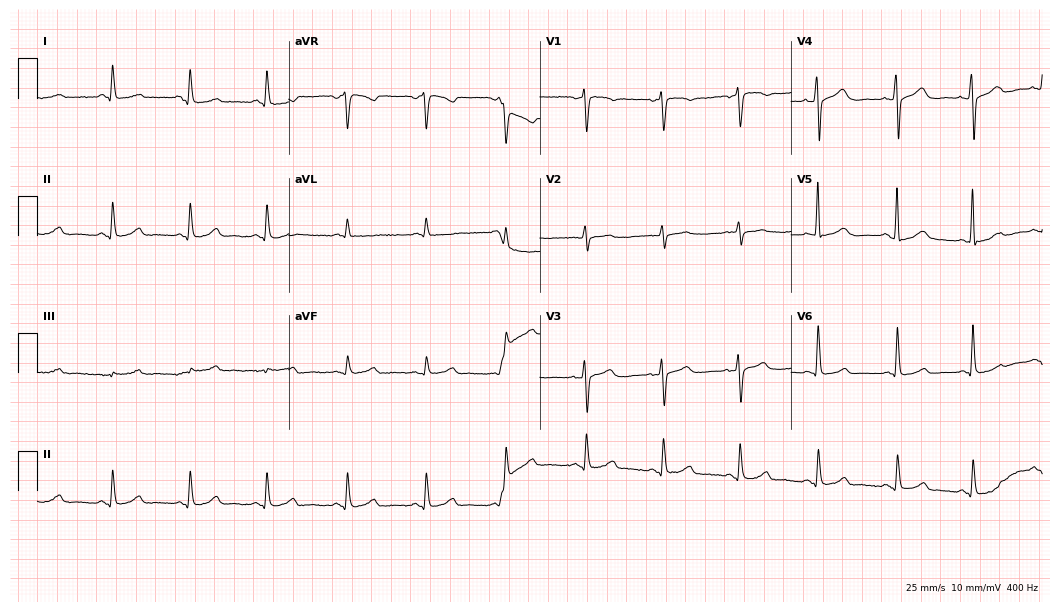
Resting 12-lead electrocardiogram (10.2-second recording at 400 Hz). Patient: a female, 46 years old. Read as a normal ECG.